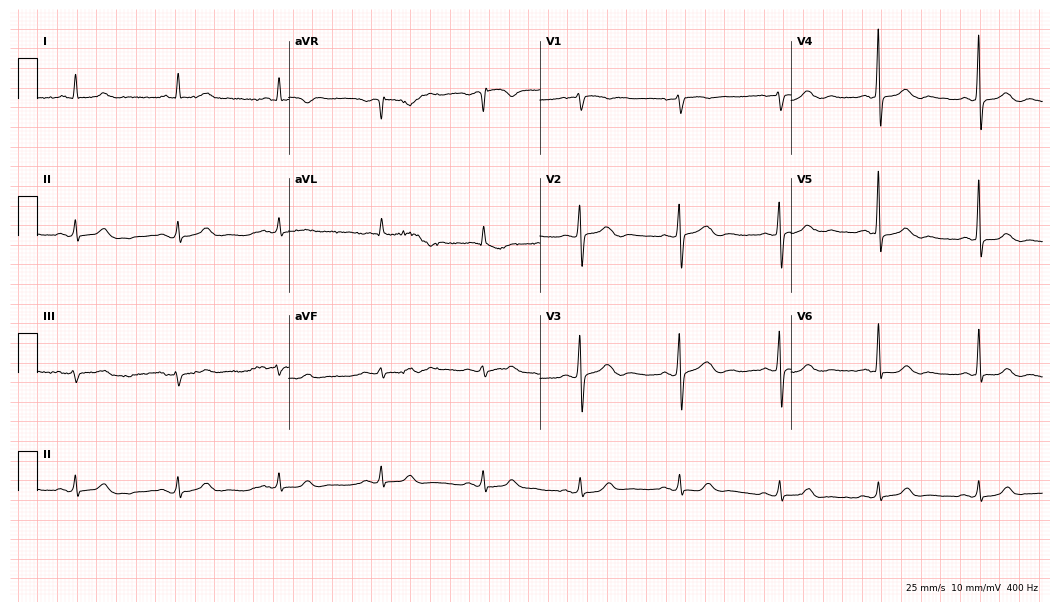
Standard 12-lead ECG recorded from an 82-year-old male (10.2-second recording at 400 Hz). None of these six findings is recorded: first-degree AV block, right bundle branch block (RBBB), left bundle branch block (LBBB), sinus bradycardia, atrial fibrillation (AF), sinus tachycardia.